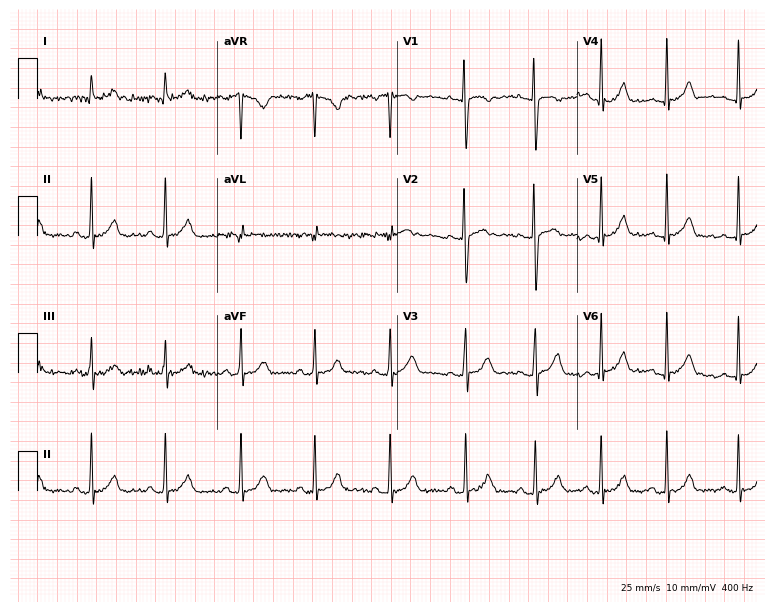
Electrocardiogram (7.3-second recording at 400 Hz), a female patient, 22 years old. Overall reading on record: normal ECG.